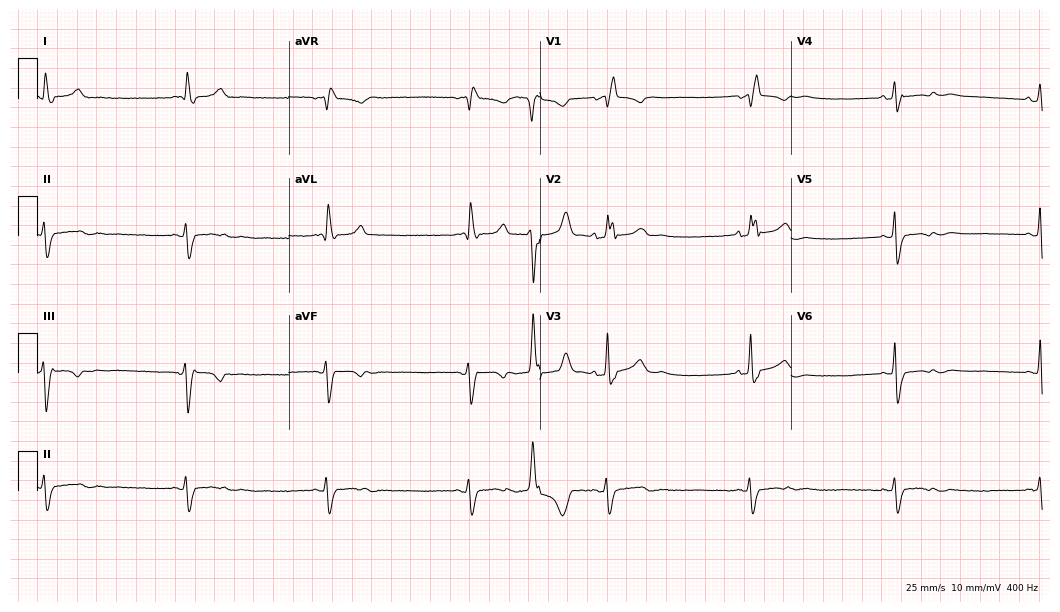
ECG — a 71-year-old female patient. Findings include right bundle branch block, sinus bradycardia (a sinus rate of 50 beats per minute or less).